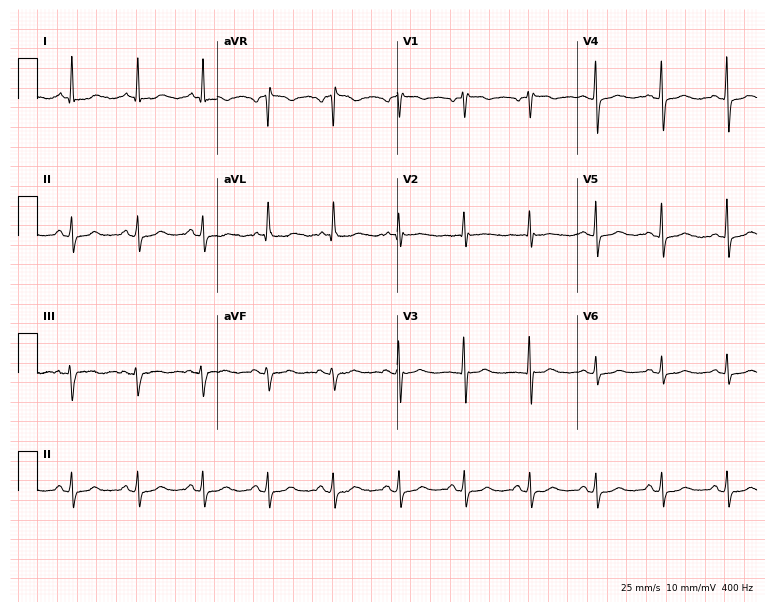
ECG (7.3-second recording at 400 Hz) — an 81-year-old woman. Labelled as a normal ECG.